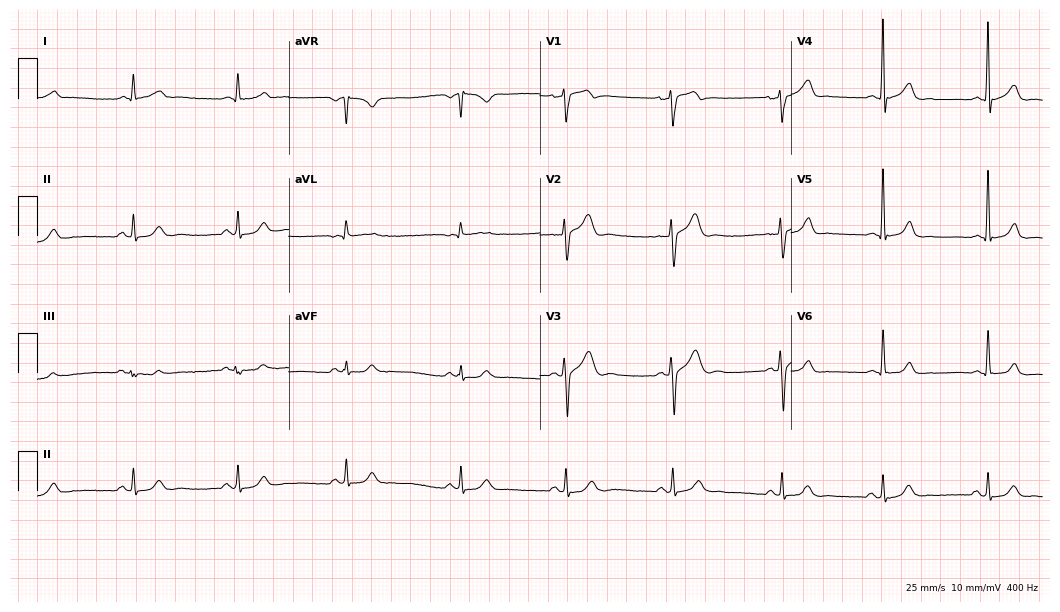
12-lead ECG (10.2-second recording at 400 Hz) from a 36-year-old male patient. Screened for six findings — first-degree AV block, right bundle branch block, left bundle branch block, sinus bradycardia, atrial fibrillation, sinus tachycardia — none is recorded.